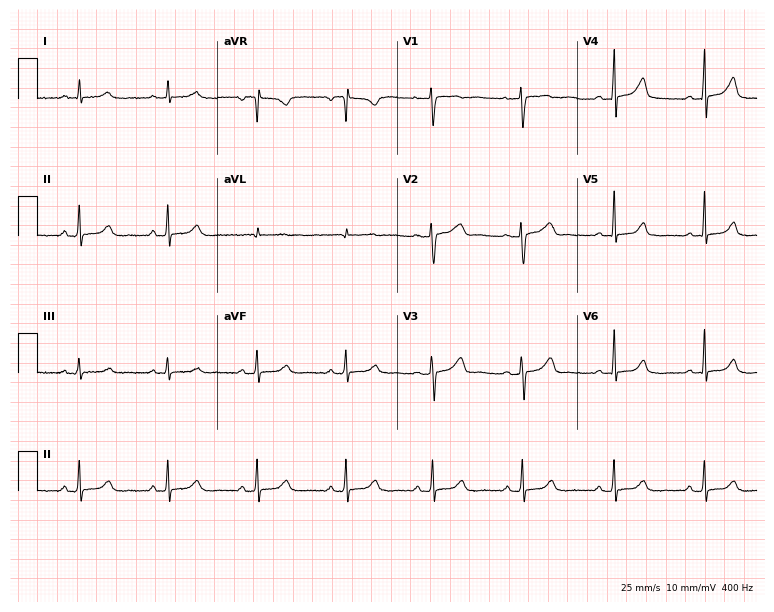
ECG — a woman, 45 years old. Labelled as a normal ECG.